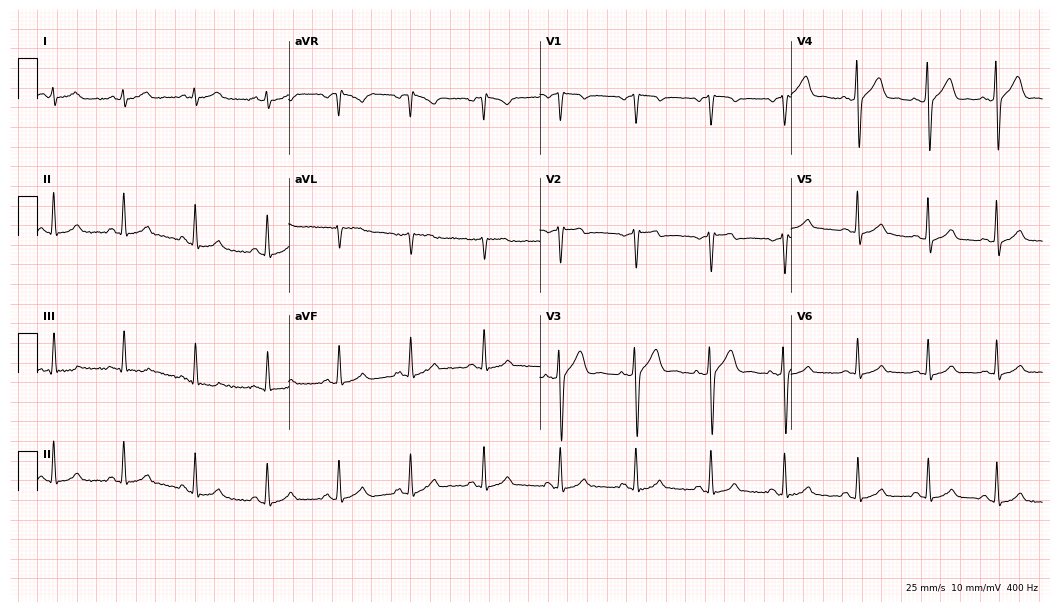
Resting 12-lead electrocardiogram. Patient: a male, 26 years old. Read as a normal ECG.